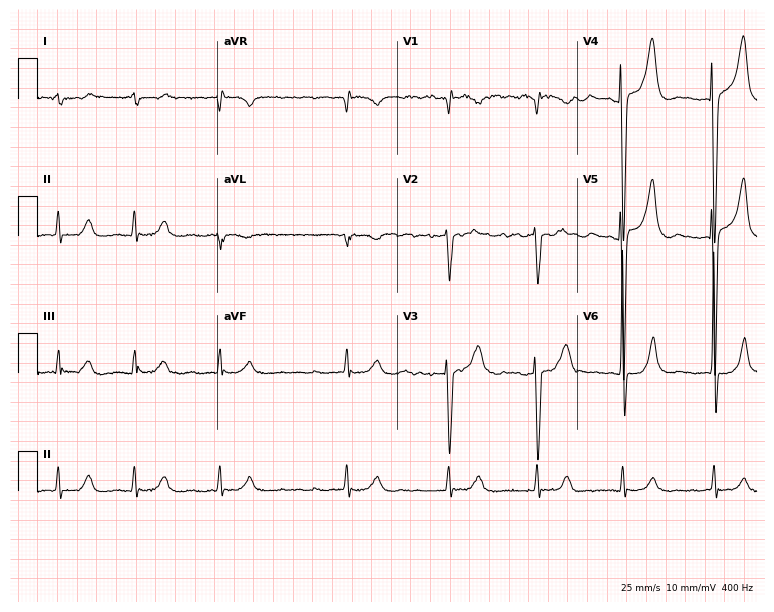
Electrocardiogram, a 36-year-old male. Interpretation includes atrial fibrillation.